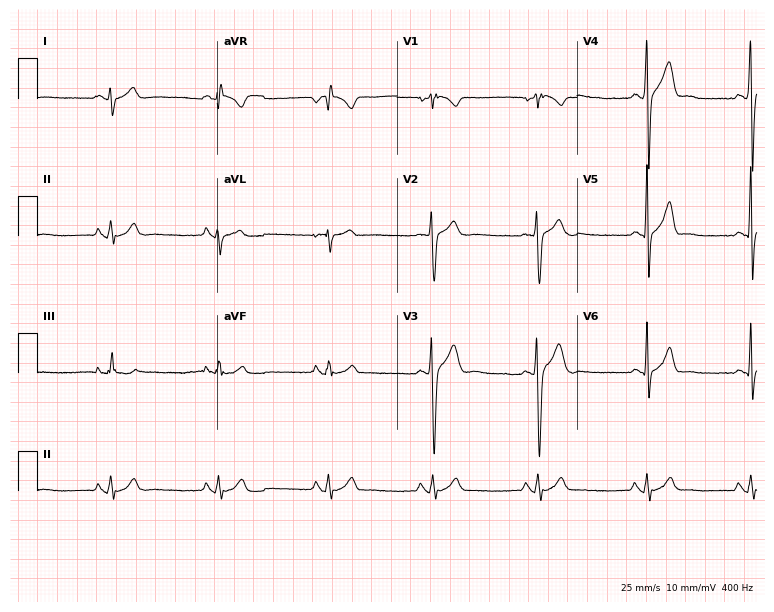
Standard 12-lead ECG recorded from a male, 22 years old (7.3-second recording at 400 Hz). None of these six findings is recorded: first-degree AV block, right bundle branch block, left bundle branch block, sinus bradycardia, atrial fibrillation, sinus tachycardia.